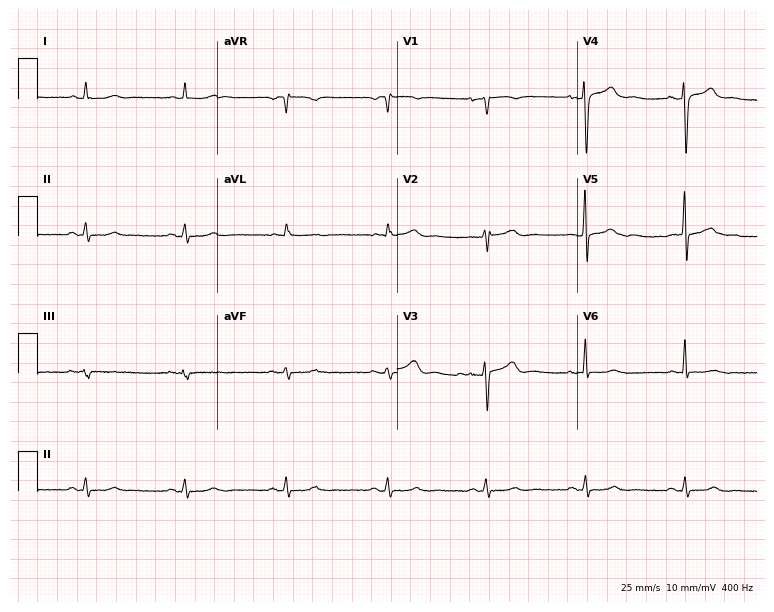
Resting 12-lead electrocardiogram (7.3-second recording at 400 Hz). Patient: a female, 30 years old. None of these six findings is recorded: first-degree AV block, right bundle branch block, left bundle branch block, sinus bradycardia, atrial fibrillation, sinus tachycardia. Only these six findings were labelled.